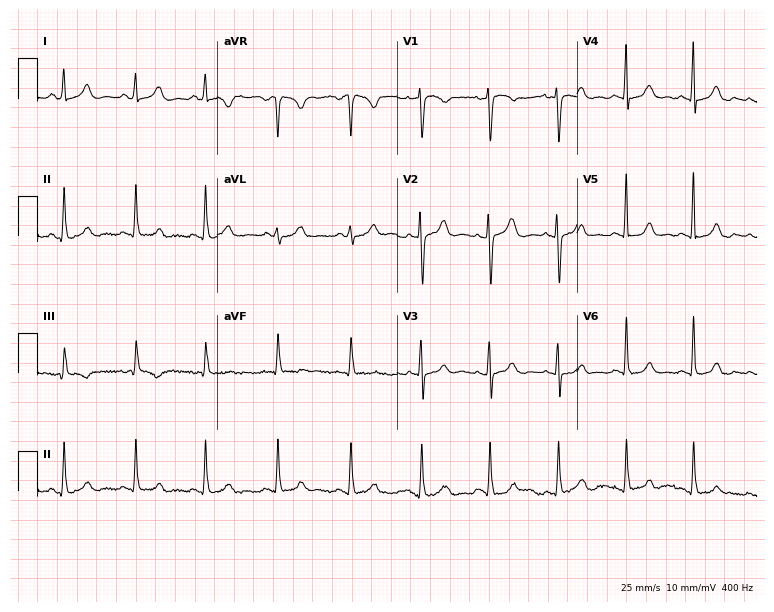
12-lead ECG from a female, 37 years old. Screened for six findings — first-degree AV block, right bundle branch block, left bundle branch block, sinus bradycardia, atrial fibrillation, sinus tachycardia — none is recorded.